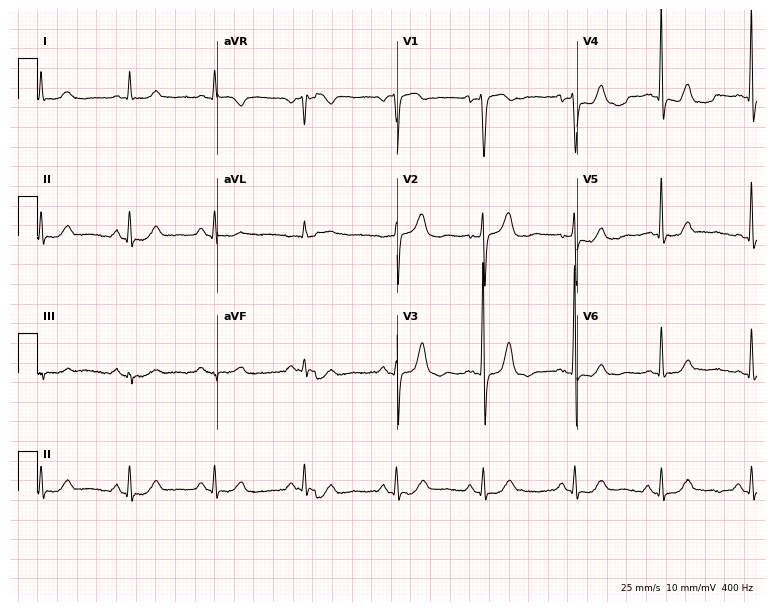
ECG — a 78-year-old male patient. Screened for six findings — first-degree AV block, right bundle branch block, left bundle branch block, sinus bradycardia, atrial fibrillation, sinus tachycardia — none is recorded. Findings outside these six are not listed.